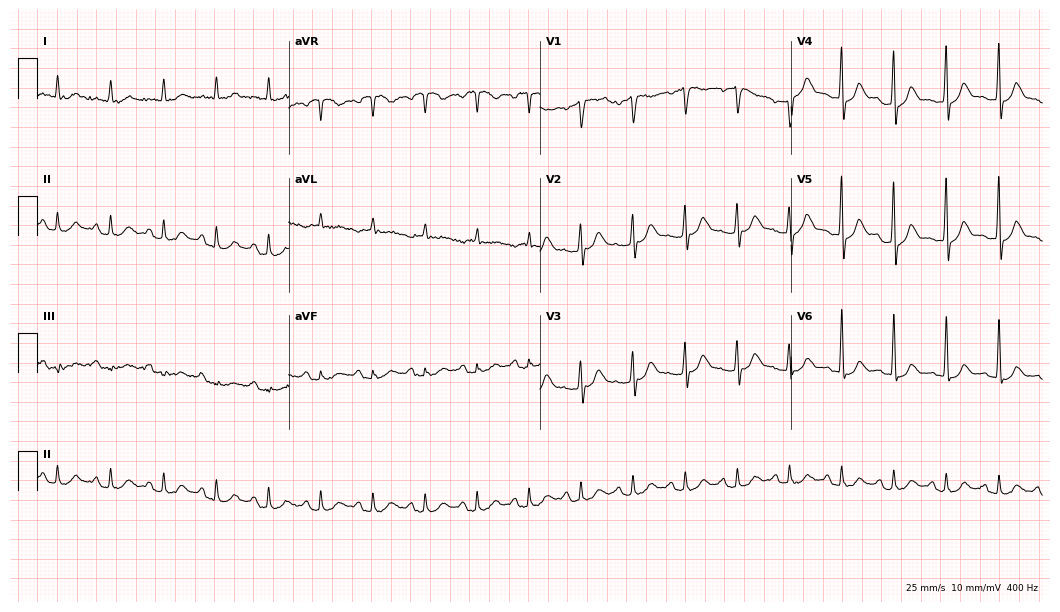
ECG — a man, 75 years old. Findings include sinus tachycardia (a sinus rate of 100 beats per minute or more).